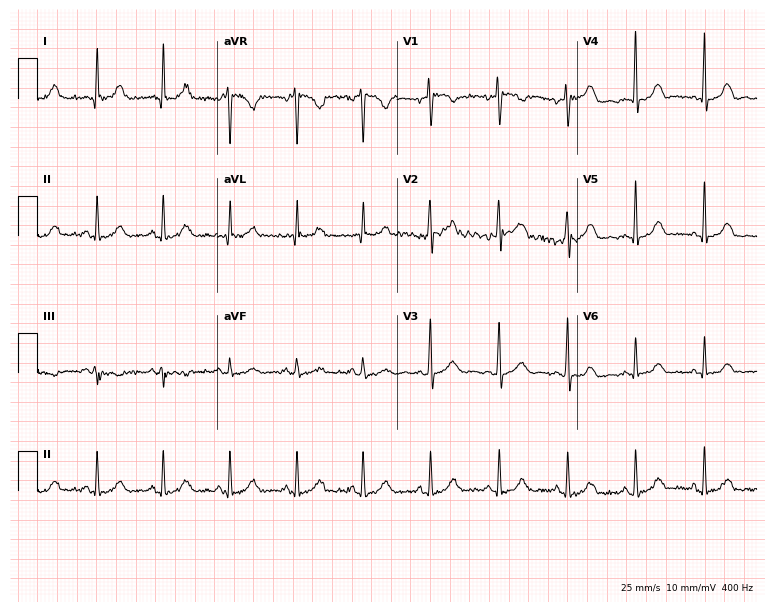
12-lead ECG from a 46-year-old female patient (7.3-second recording at 400 Hz). Recorded interpretation: within normal limits.